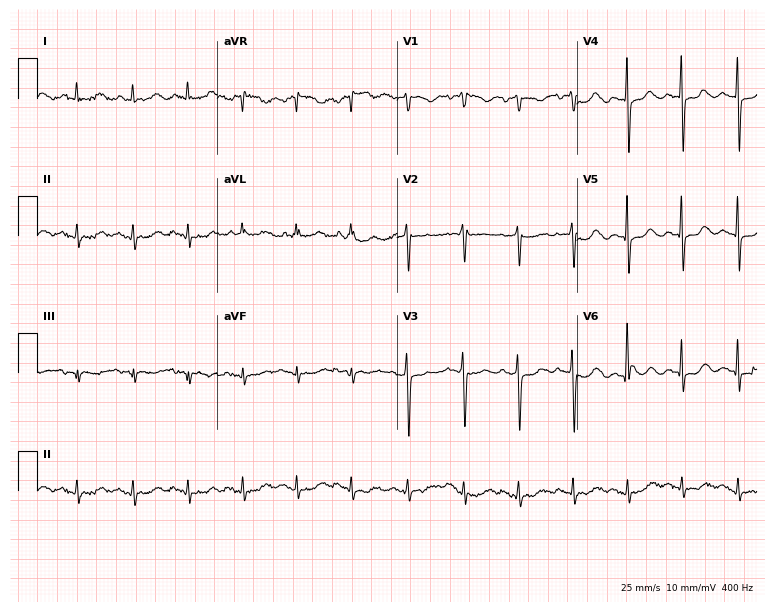
Electrocardiogram, a 79-year-old woman. Of the six screened findings (first-degree AV block, right bundle branch block, left bundle branch block, sinus bradycardia, atrial fibrillation, sinus tachycardia), none is recorded.